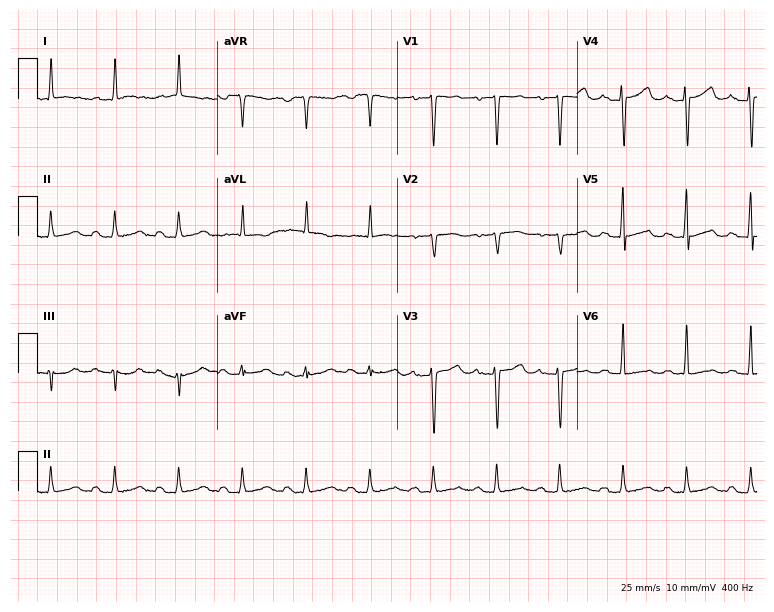
12-lead ECG from an 80-year-old female patient. Shows first-degree AV block.